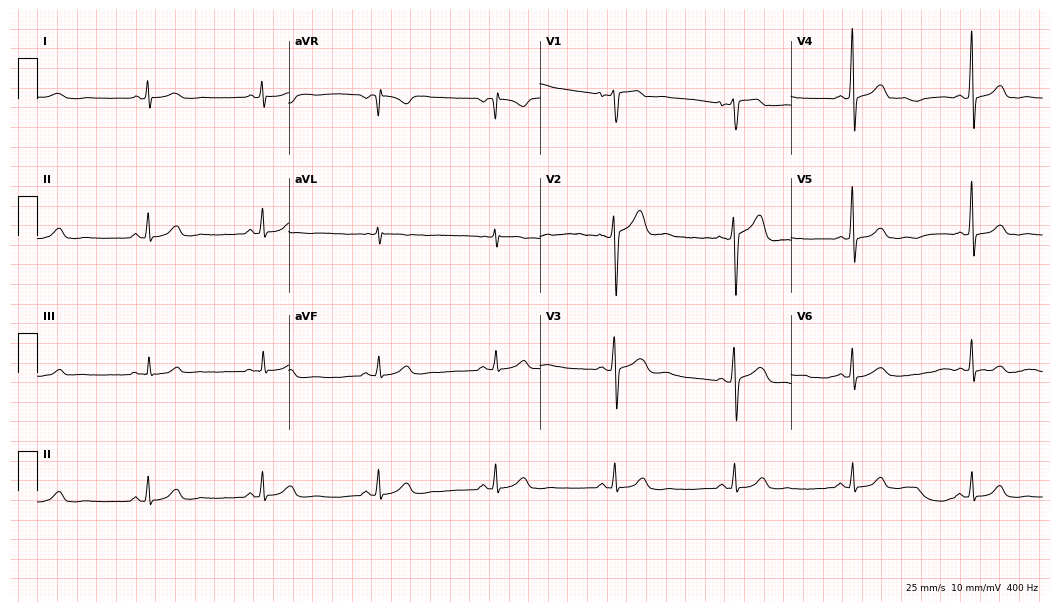
12-lead ECG from a male, 63 years old (10.2-second recording at 400 Hz). Shows sinus bradycardia (a sinus rate of 50 beats per minute or less).